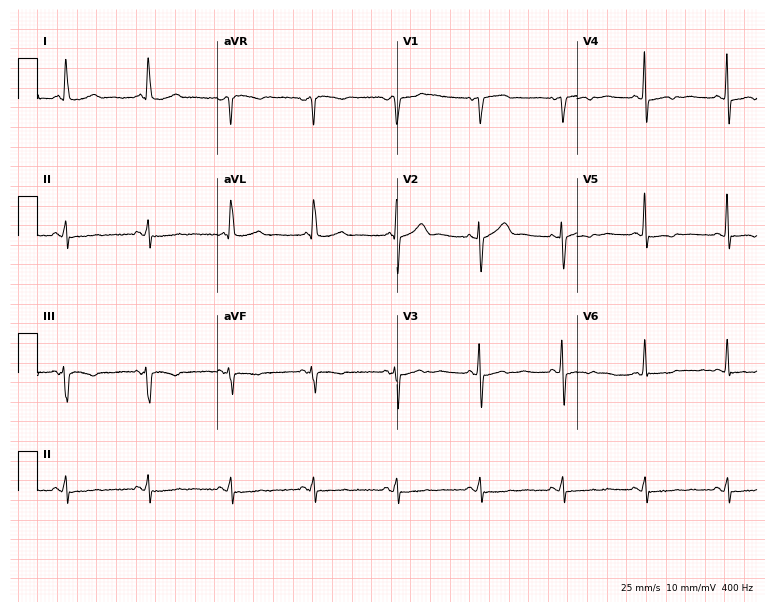
Standard 12-lead ECG recorded from a female patient, 78 years old. None of these six findings is recorded: first-degree AV block, right bundle branch block, left bundle branch block, sinus bradycardia, atrial fibrillation, sinus tachycardia.